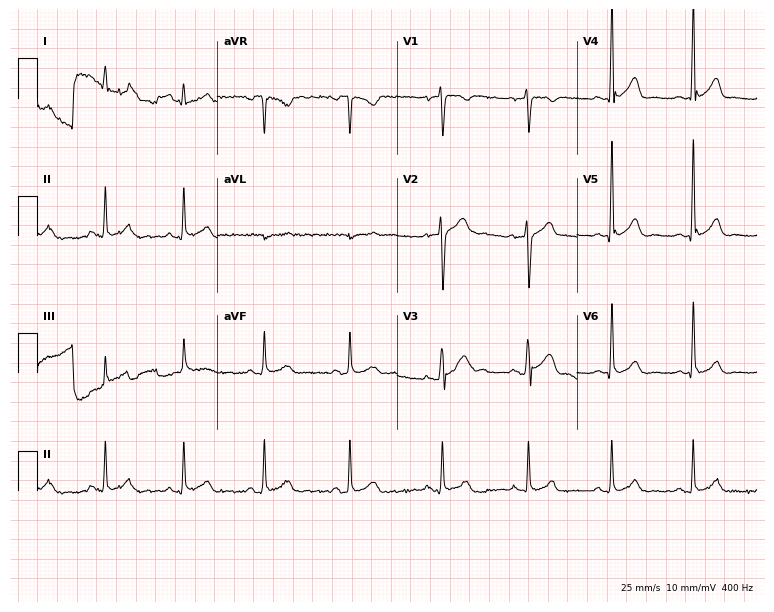
Resting 12-lead electrocardiogram (7.3-second recording at 400 Hz). Patient: a male, 31 years old. Read as a normal ECG.